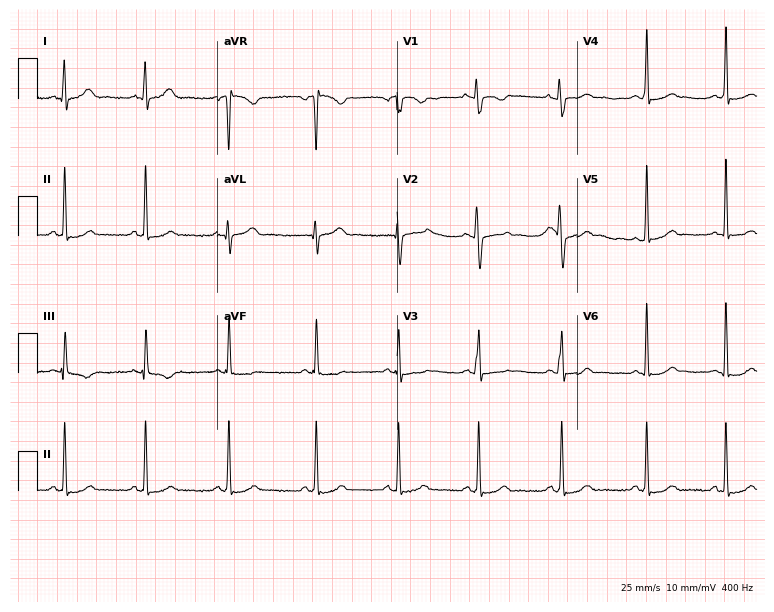
12-lead ECG (7.3-second recording at 400 Hz) from a woman, 27 years old. Labelled as a normal ECG.